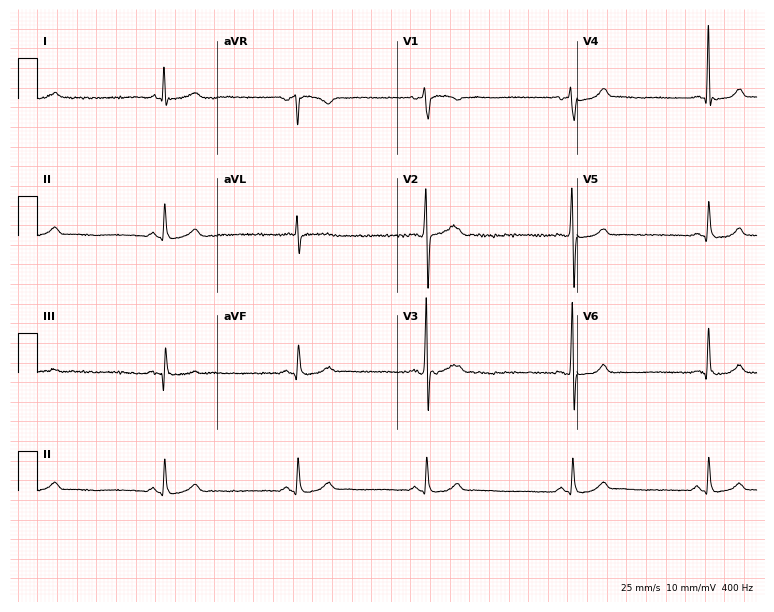
Resting 12-lead electrocardiogram. Patient: a 39-year-old male. The tracing shows sinus bradycardia (a sinus rate of 50 beats per minute or less).